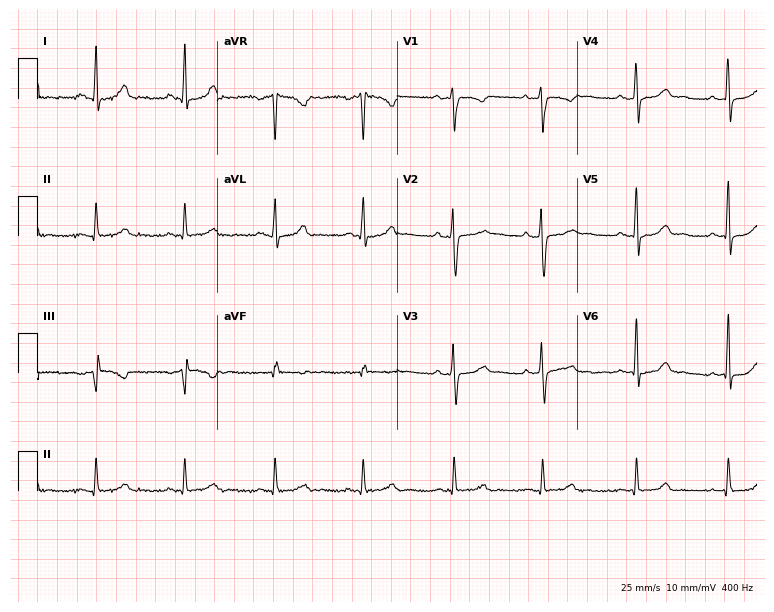
Resting 12-lead electrocardiogram (7.3-second recording at 400 Hz). Patient: a female, 34 years old. Read as a normal ECG.